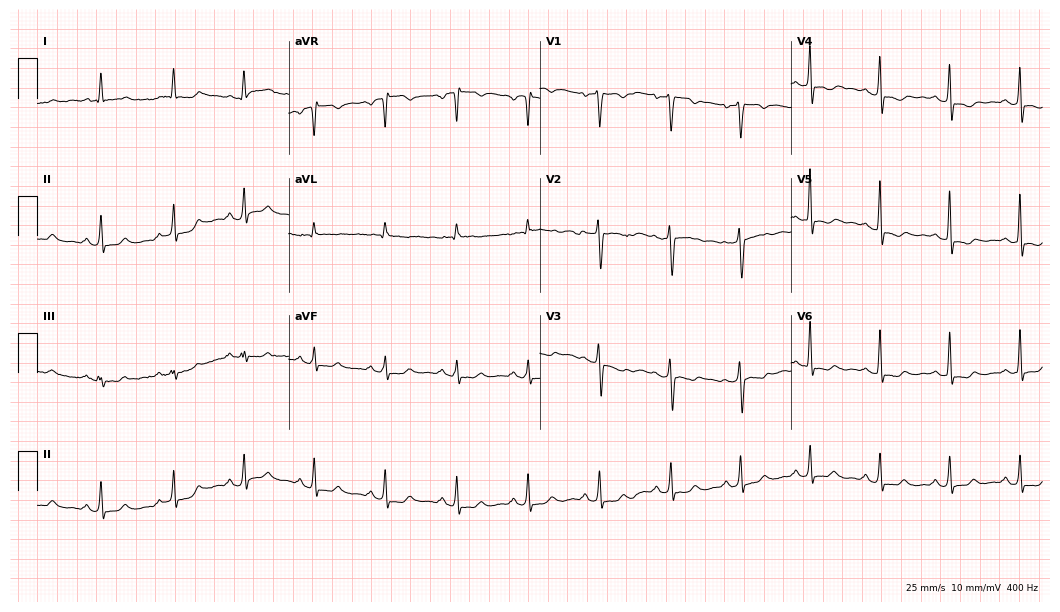
Standard 12-lead ECG recorded from a 51-year-old female (10.2-second recording at 400 Hz). None of these six findings is recorded: first-degree AV block, right bundle branch block, left bundle branch block, sinus bradycardia, atrial fibrillation, sinus tachycardia. Only these six findings were labelled.